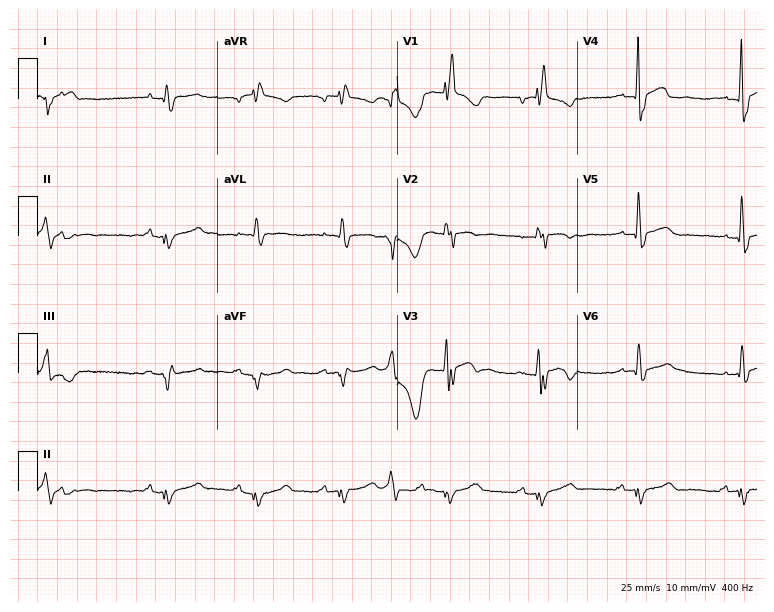
12-lead ECG (7.3-second recording at 400 Hz) from a female, 65 years old. Findings include right bundle branch block (RBBB).